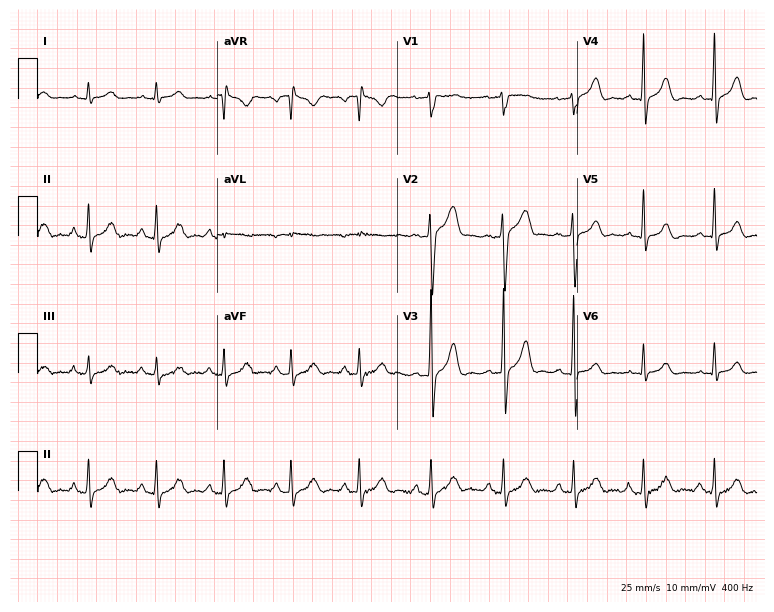
ECG — a man, 37 years old. Labelled as a normal ECG.